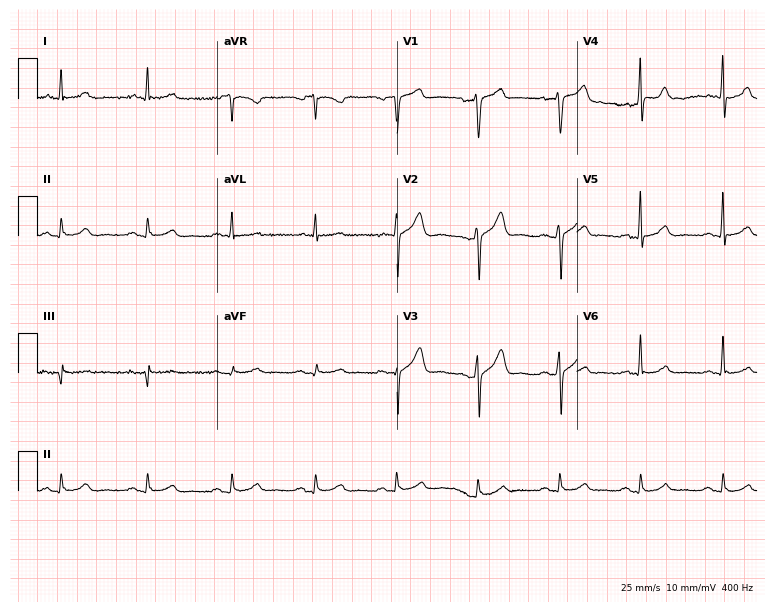
Electrocardiogram, a man, 42 years old. Overall reading on record: normal ECG.